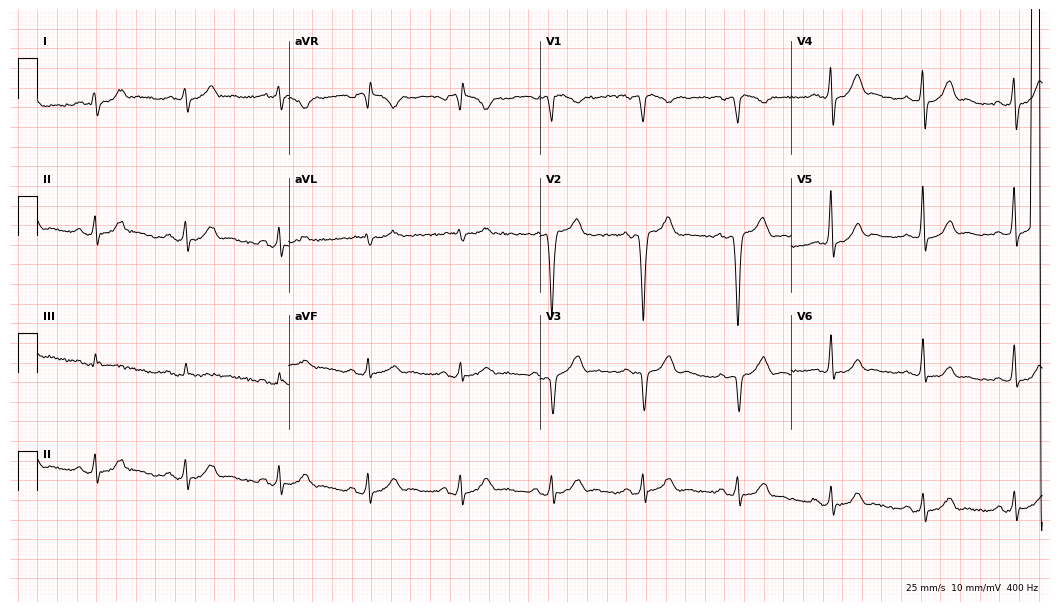
Standard 12-lead ECG recorded from a 39-year-old male (10.2-second recording at 400 Hz). None of these six findings is recorded: first-degree AV block, right bundle branch block, left bundle branch block, sinus bradycardia, atrial fibrillation, sinus tachycardia.